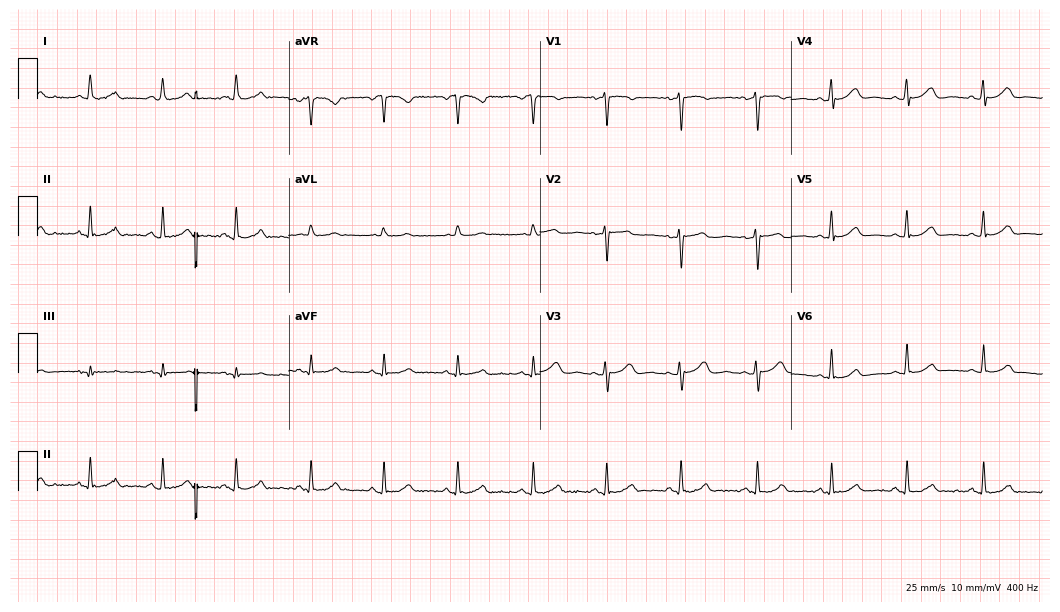
Electrocardiogram, a female patient, 33 years old. Overall reading on record: normal ECG.